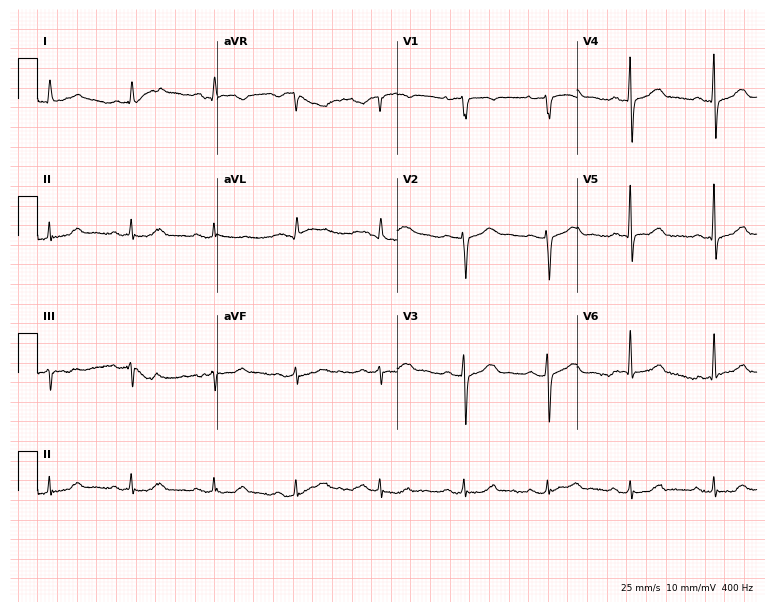
ECG (7.3-second recording at 400 Hz) — a 79-year-old female. Labelled as a normal ECG.